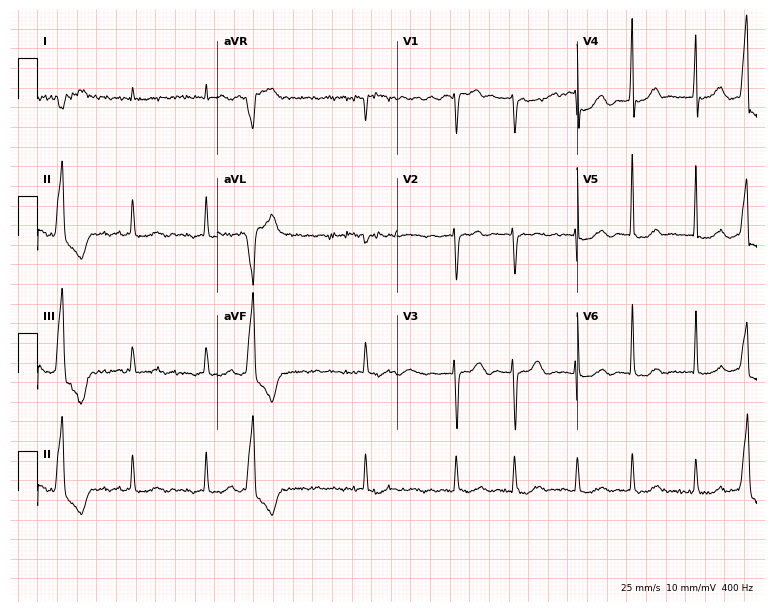
12-lead ECG from a female, 84 years old (7.3-second recording at 400 Hz). Shows atrial fibrillation.